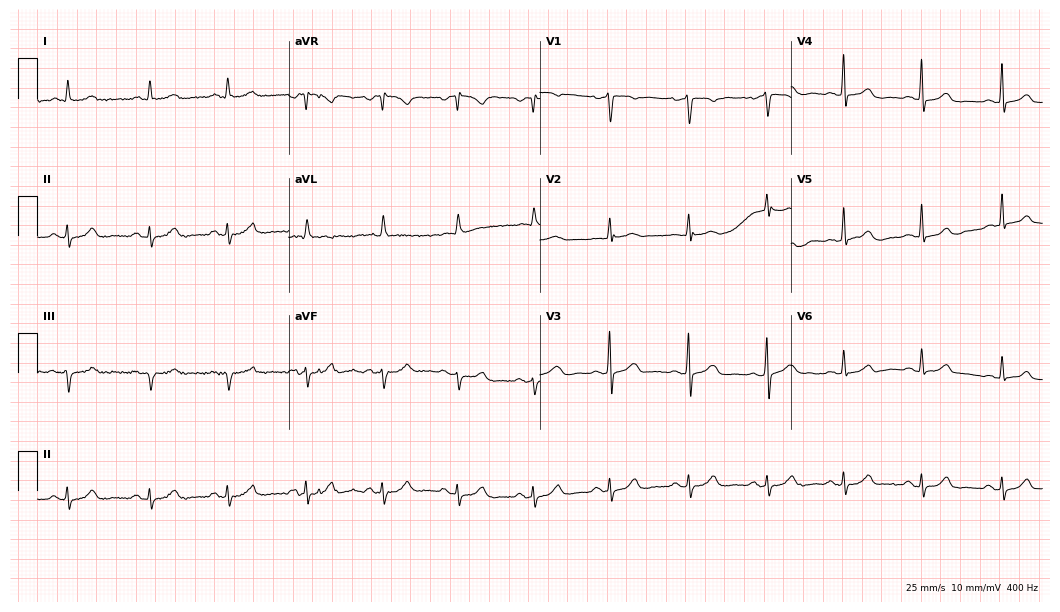
Standard 12-lead ECG recorded from a 61-year-old male. Read as a normal ECG.